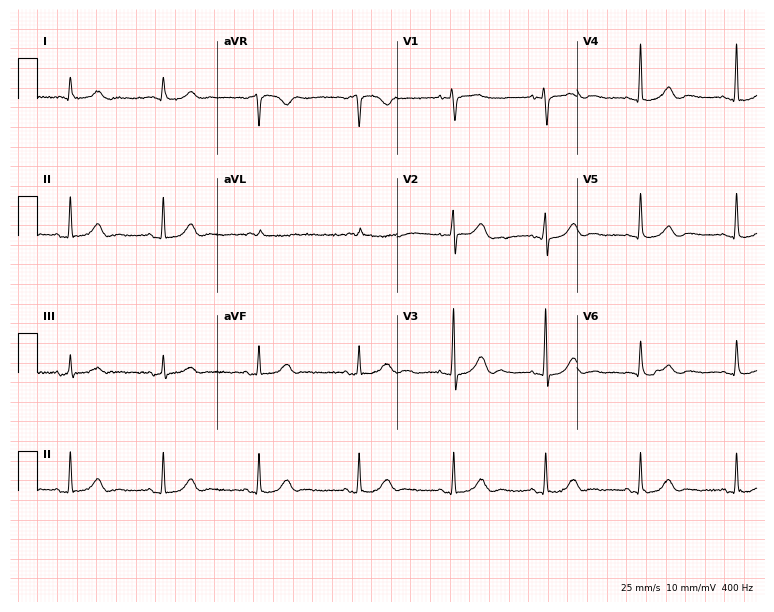
ECG — a female patient, 73 years old. Labelled as a normal ECG.